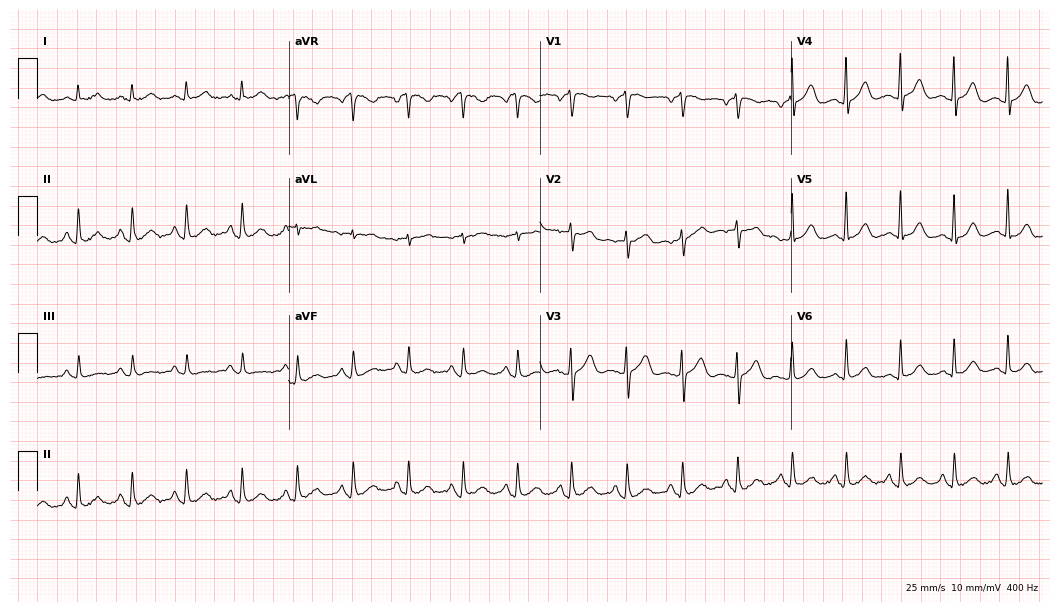
12-lead ECG from a female patient, 74 years old. Findings include sinus tachycardia (a sinus rate of 100 beats per minute or more).